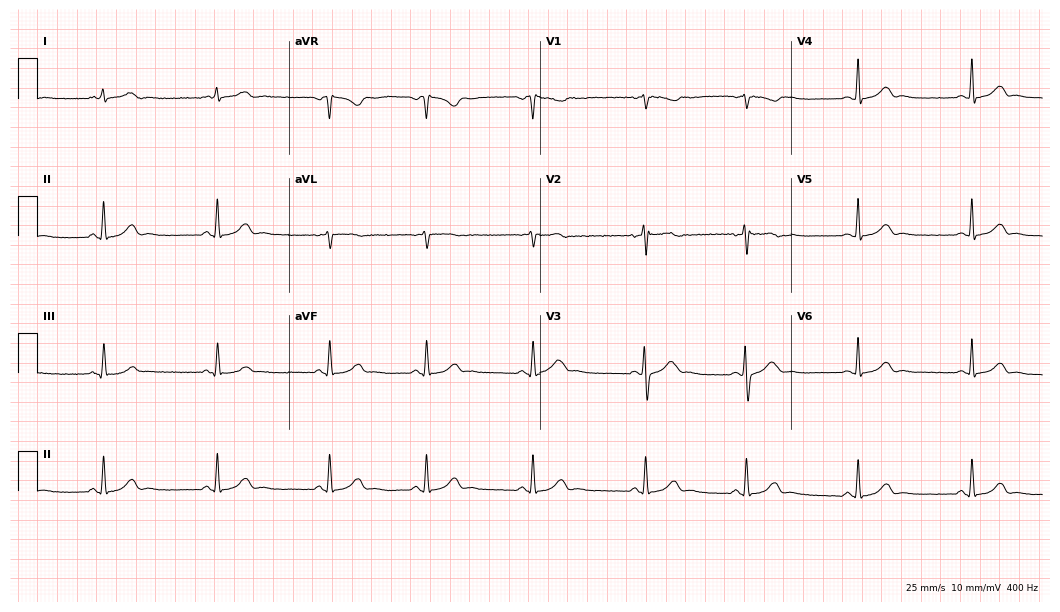
Standard 12-lead ECG recorded from a female patient, 25 years old. Read as a normal ECG.